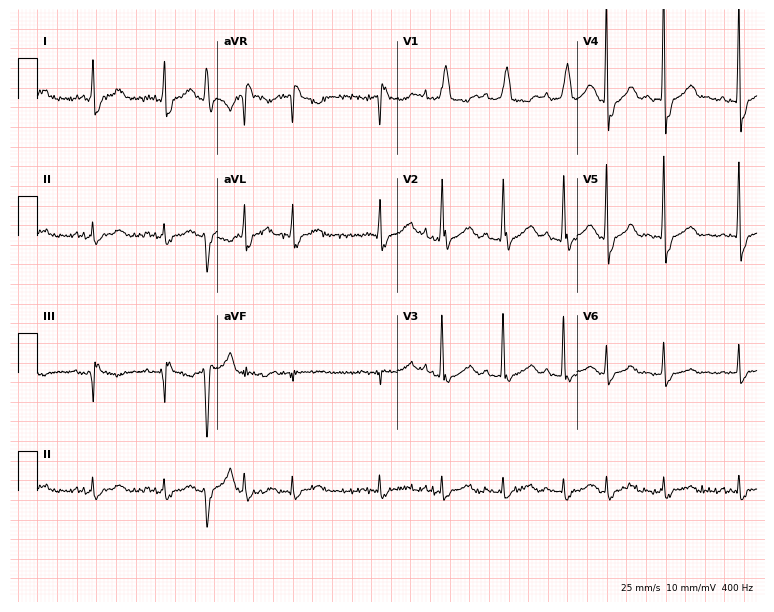
ECG (7.3-second recording at 400 Hz) — a 79-year-old male. Findings include left bundle branch block (LBBB).